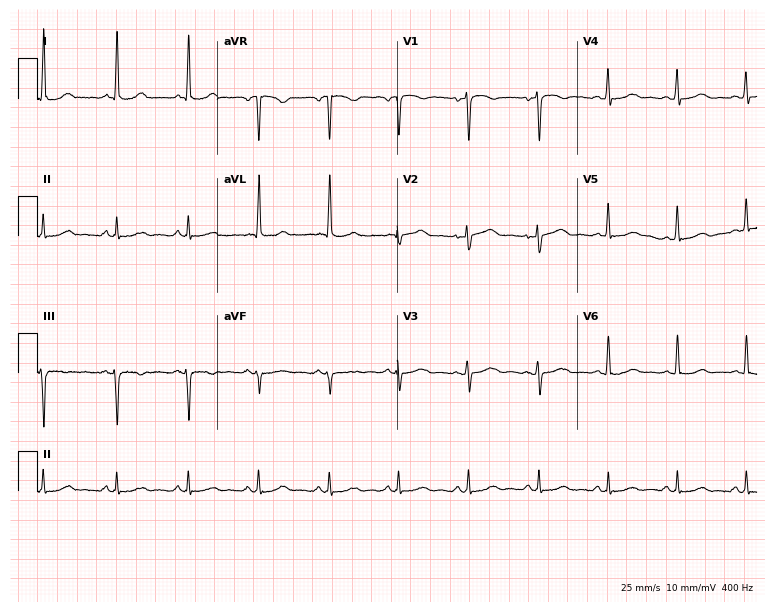
Resting 12-lead electrocardiogram (7.3-second recording at 400 Hz). Patient: a female, 45 years old. Read as a normal ECG.